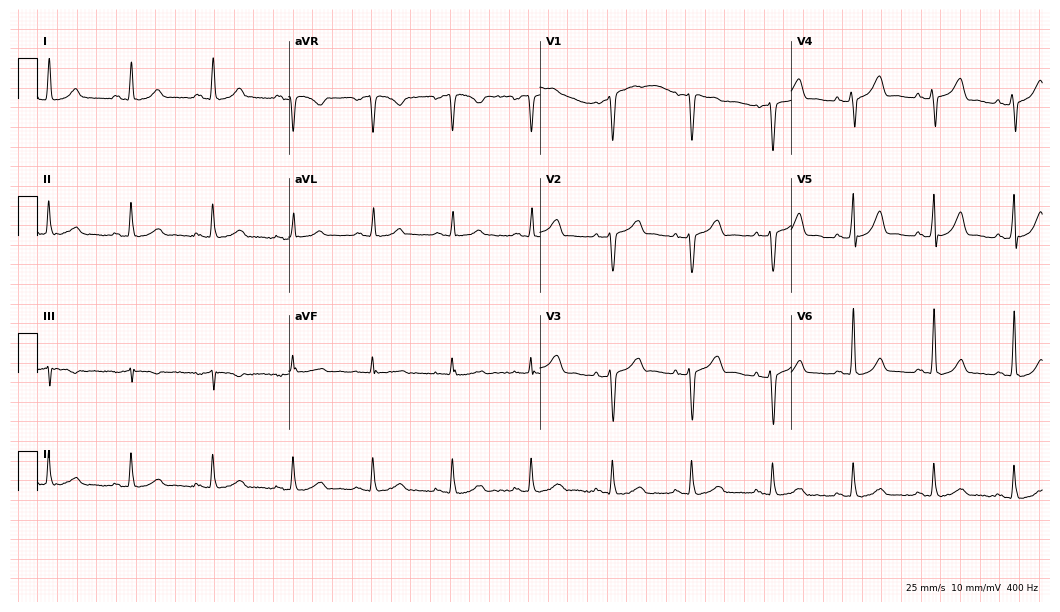
12-lead ECG from a woman, 44 years old (10.2-second recording at 400 Hz). No first-degree AV block, right bundle branch block (RBBB), left bundle branch block (LBBB), sinus bradycardia, atrial fibrillation (AF) or sinus tachycardia recorded for this tracing. Findings outside these six are not listed.